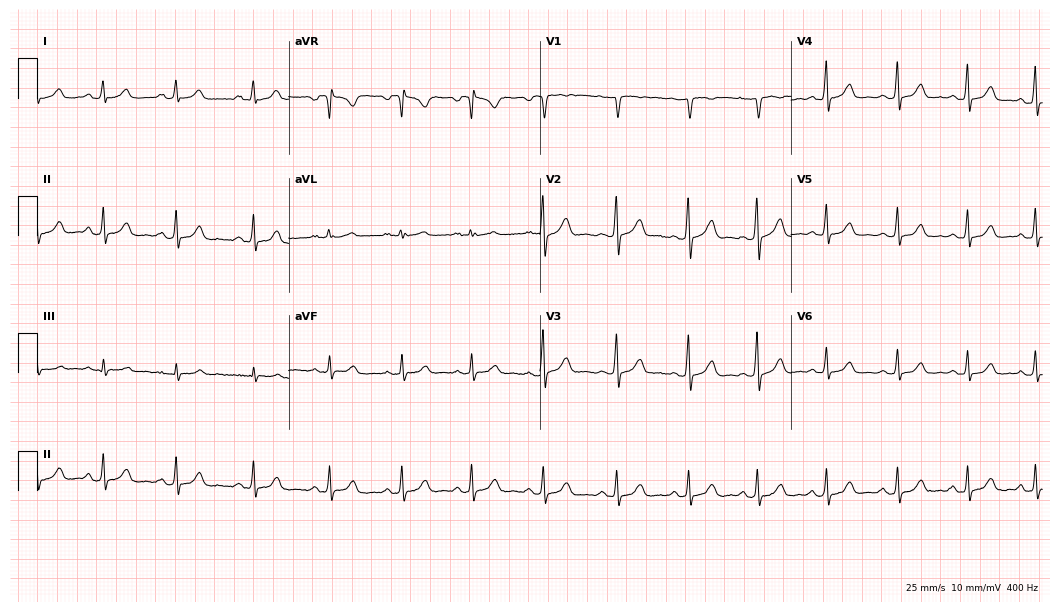
12-lead ECG from a 34-year-old man. No first-degree AV block, right bundle branch block, left bundle branch block, sinus bradycardia, atrial fibrillation or sinus tachycardia recorded for this tracing. Findings outside these six are not listed.